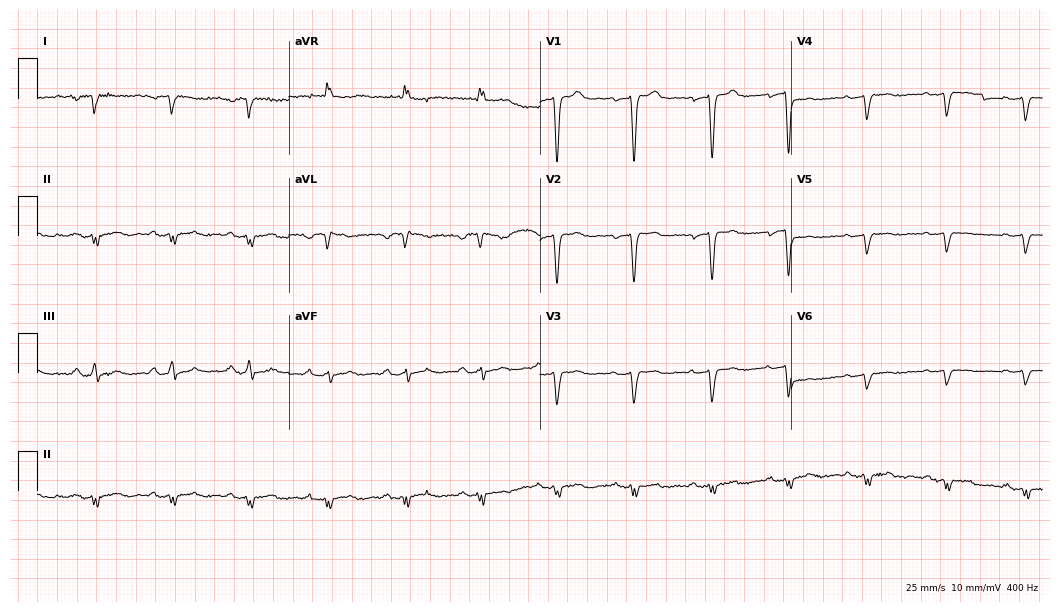
12-lead ECG from a male patient, 40 years old. No first-degree AV block, right bundle branch block, left bundle branch block, sinus bradycardia, atrial fibrillation or sinus tachycardia recorded for this tracing.